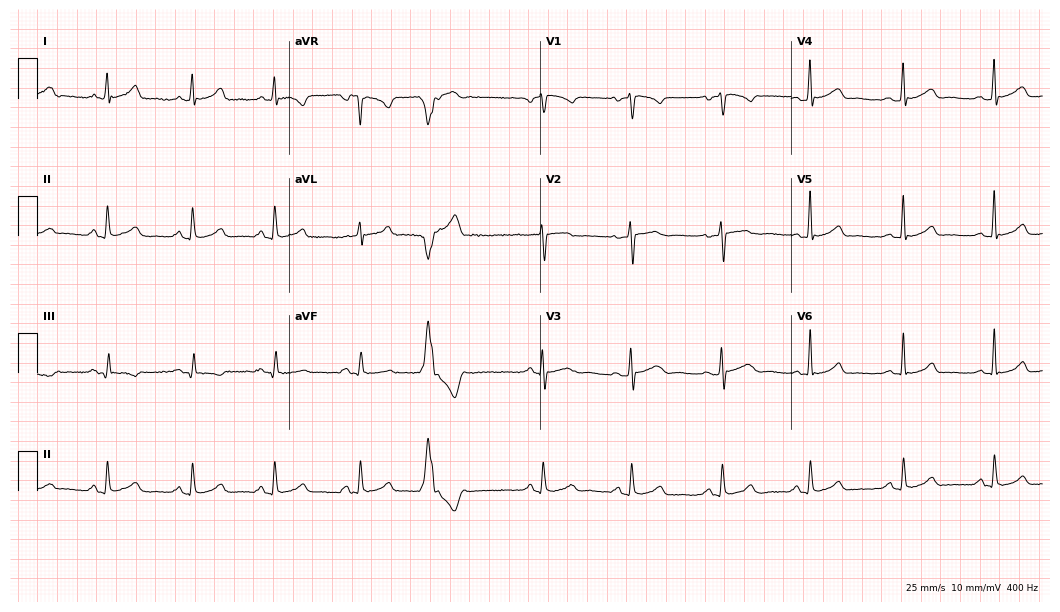
Resting 12-lead electrocardiogram (10.2-second recording at 400 Hz). Patient: a 42-year-old woman. Read as a normal ECG.